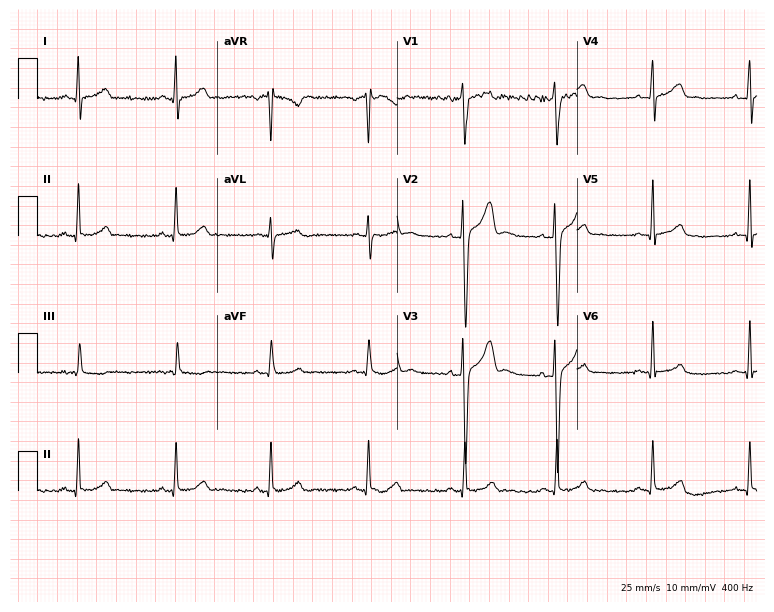
ECG — a 26-year-old male patient. Labelled as a normal ECG.